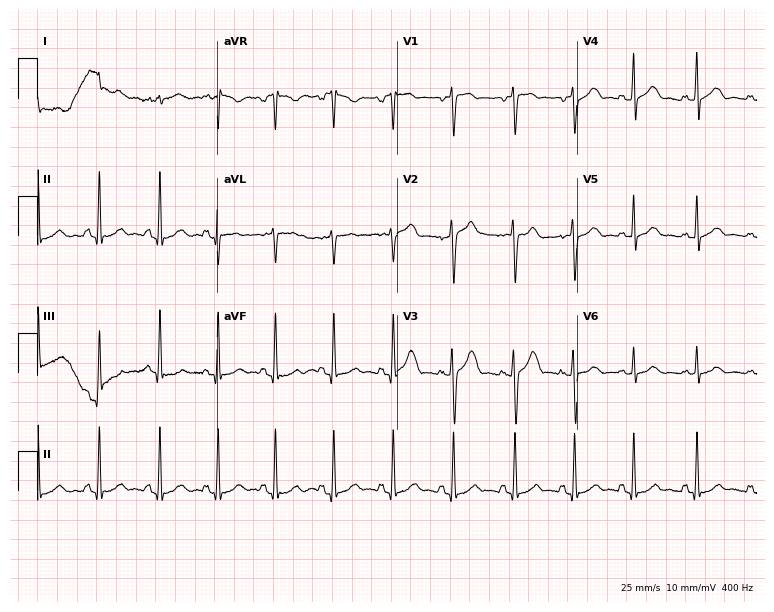
12-lead ECG (7.3-second recording at 400 Hz) from a 27-year-old man. Labelled as a normal ECG.